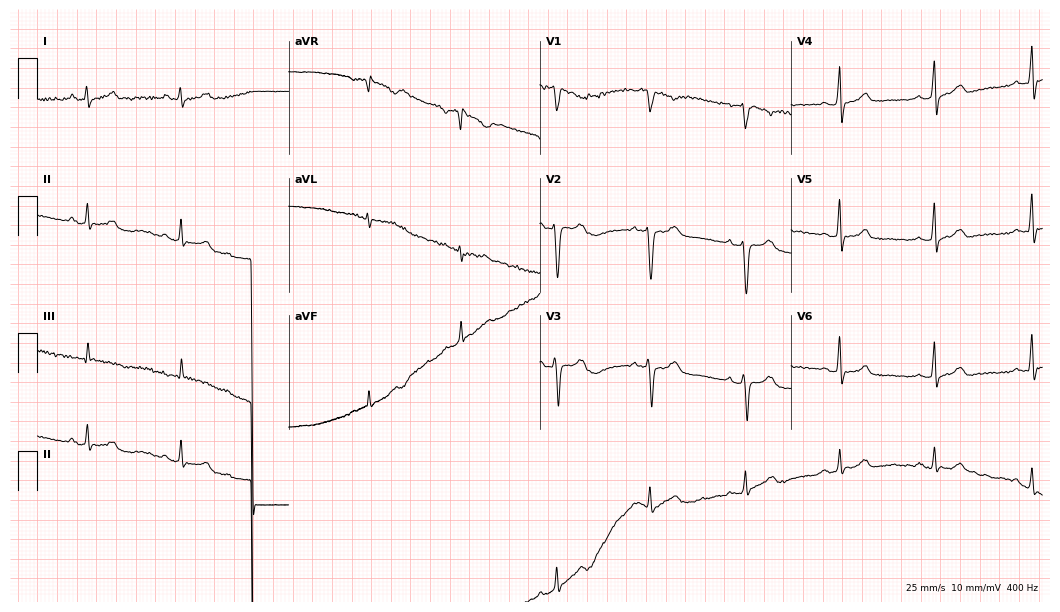
Resting 12-lead electrocardiogram (10.2-second recording at 400 Hz). Patient: a 42-year-old woman. None of these six findings is recorded: first-degree AV block, right bundle branch block (RBBB), left bundle branch block (LBBB), sinus bradycardia, atrial fibrillation (AF), sinus tachycardia.